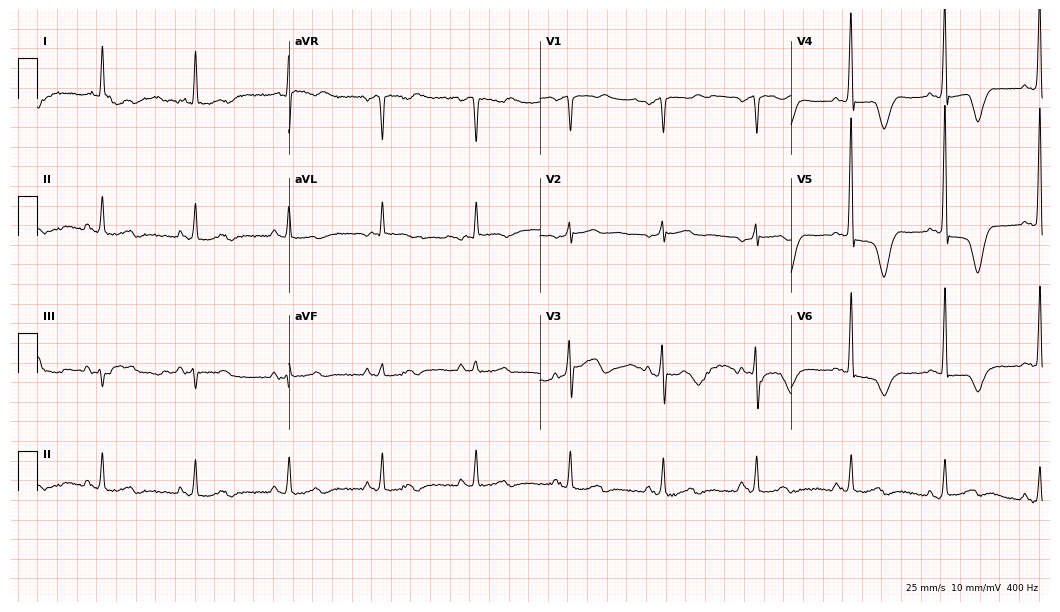
ECG — a man, 79 years old. Screened for six findings — first-degree AV block, right bundle branch block (RBBB), left bundle branch block (LBBB), sinus bradycardia, atrial fibrillation (AF), sinus tachycardia — none is recorded.